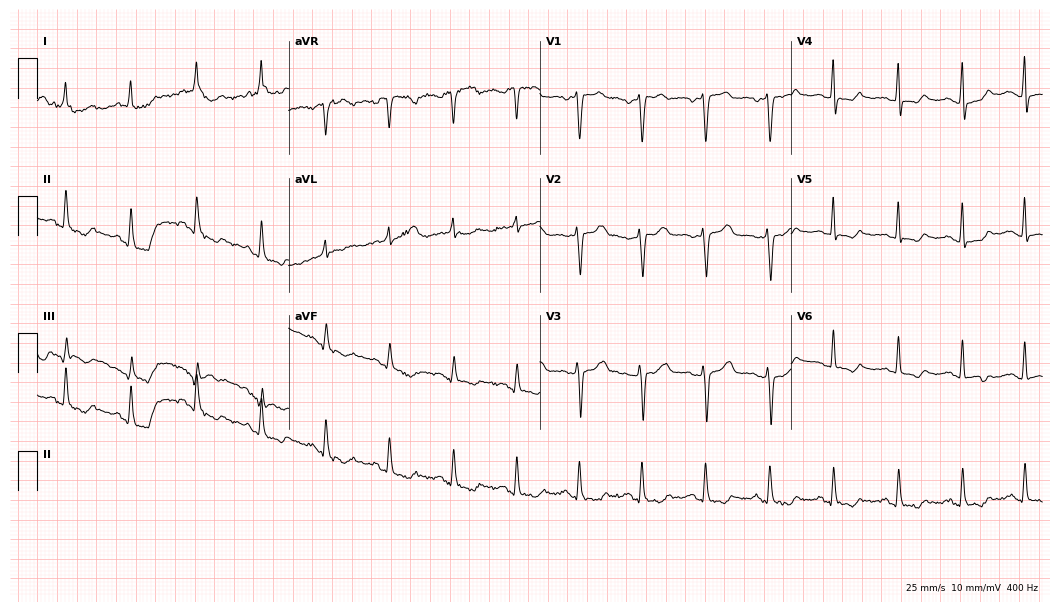
12-lead ECG (10.2-second recording at 400 Hz) from a woman, 45 years old. Screened for six findings — first-degree AV block, right bundle branch block, left bundle branch block, sinus bradycardia, atrial fibrillation, sinus tachycardia — none is recorded.